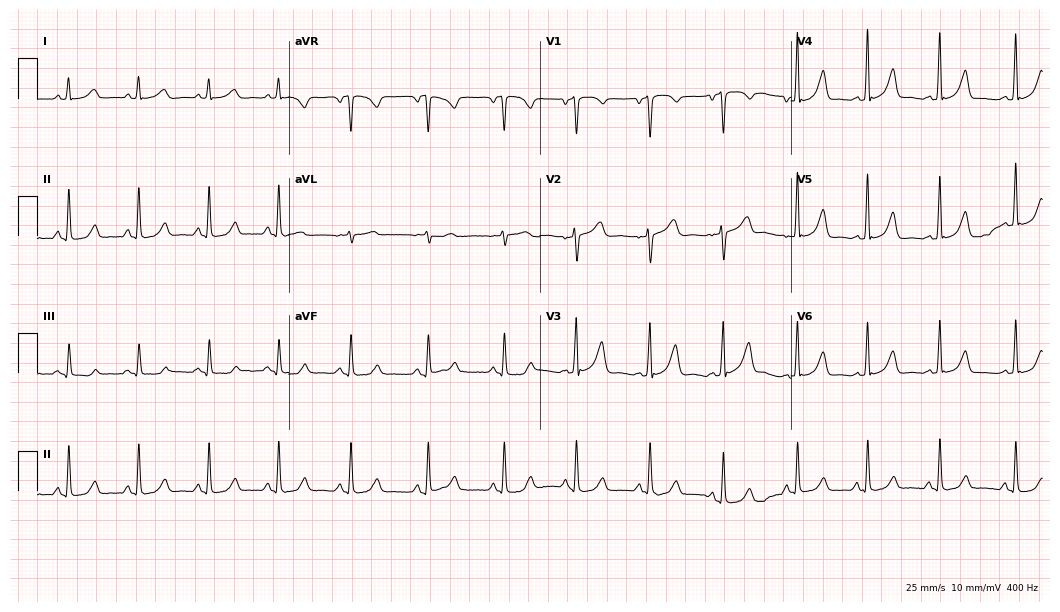
Standard 12-lead ECG recorded from a woman, 32 years old (10.2-second recording at 400 Hz). Read as a normal ECG.